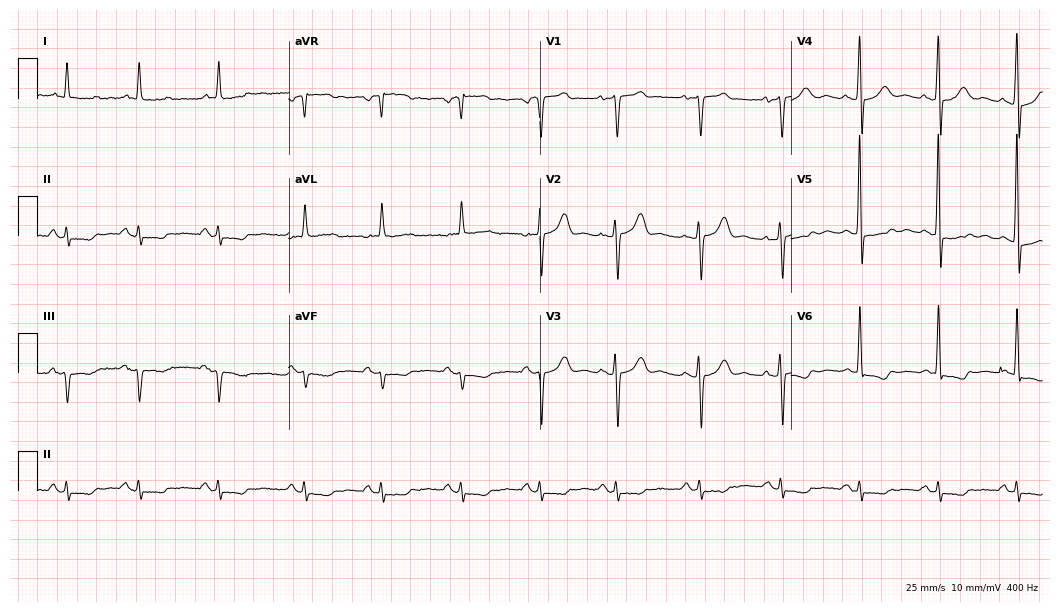
12-lead ECG from a male patient, 84 years old. No first-degree AV block, right bundle branch block (RBBB), left bundle branch block (LBBB), sinus bradycardia, atrial fibrillation (AF) or sinus tachycardia recorded for this tracing.